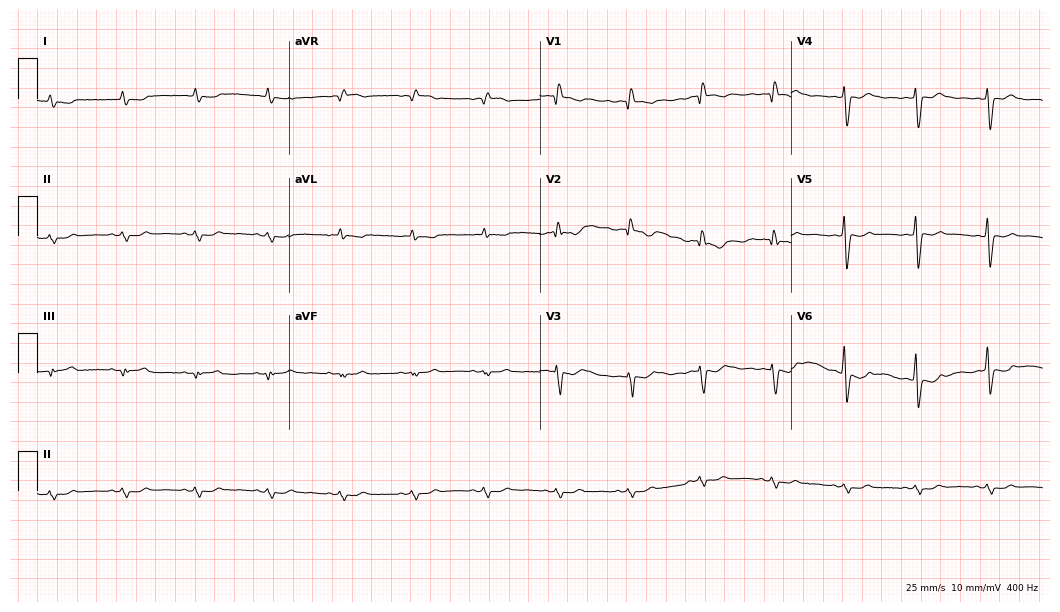
Standard 12-lead ECG recorded from a male, 67 years old. None of these six findings is recorded: first-degree AV block, right bundle branch block, left bundle branch block, sinus bradycardia, atrial fibrillation, sinus tachycardia. Other findings, if any, are not listed.